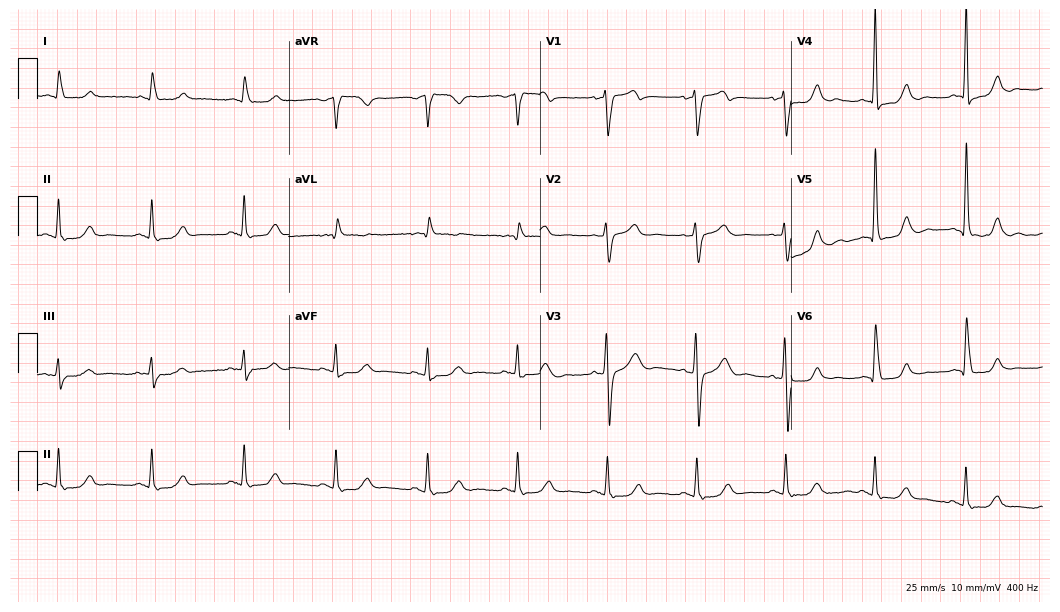
Resting 12-lead electrocardiogram. Patient: a 75-year-old male. None of these six findings is recorded: first-degree AV block, right bundle branch block, left bundle branch block, sinus bradycardia, atrial fibrillation, sinus tachycardia.